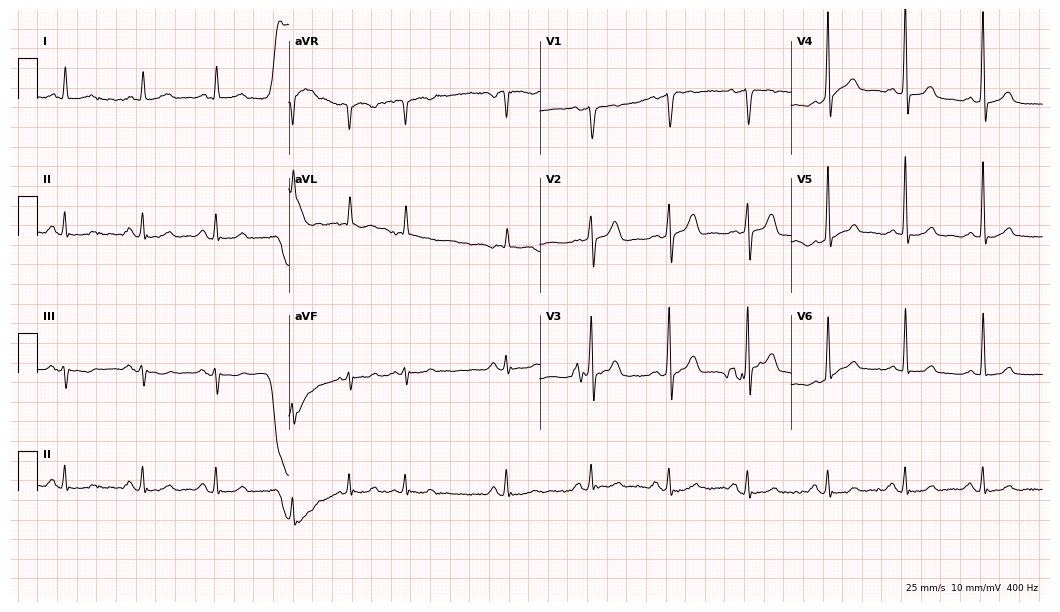
Electrocardiogram, a 67-year-old female patient. Of the six screened findings (first-degree AV block, right bundle branch block, left bundle branch block, sinus bradycardia, atrial fibrillation, sinus tachycardia), none is recorded.